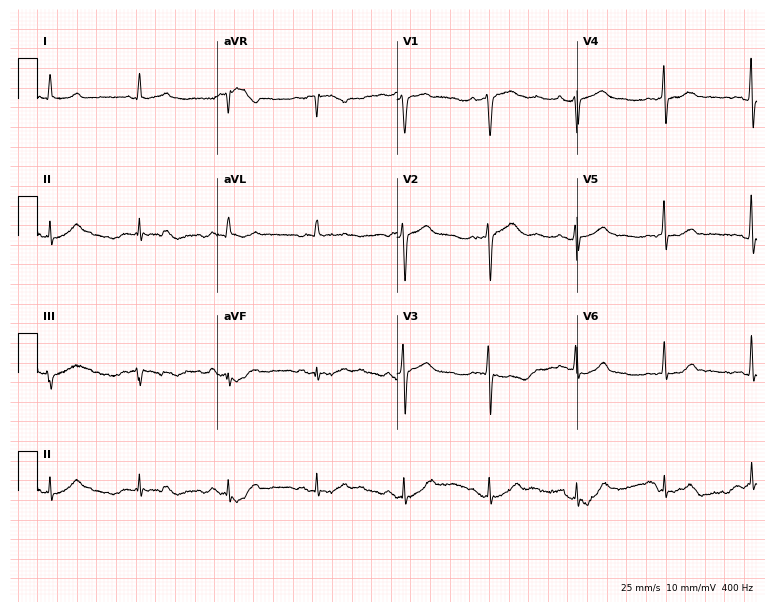
Electrocardiogram (7.3-second recording at 400 Hz), a man, 82 years old. Overall reading on record: normal ECG.